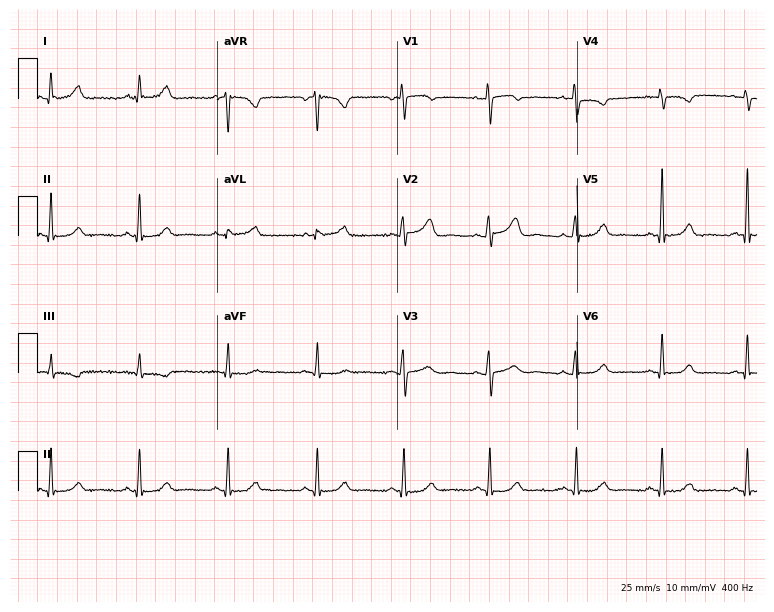
ECG (7.3-second recording at 400 Hz) — a female, 46 years old. Screened for six findings — first-degree AV block, right bundle branch block, left bundle branch block, sinus bradycardia, atrial fibrillation, sinus tachycardia — none is recorded.